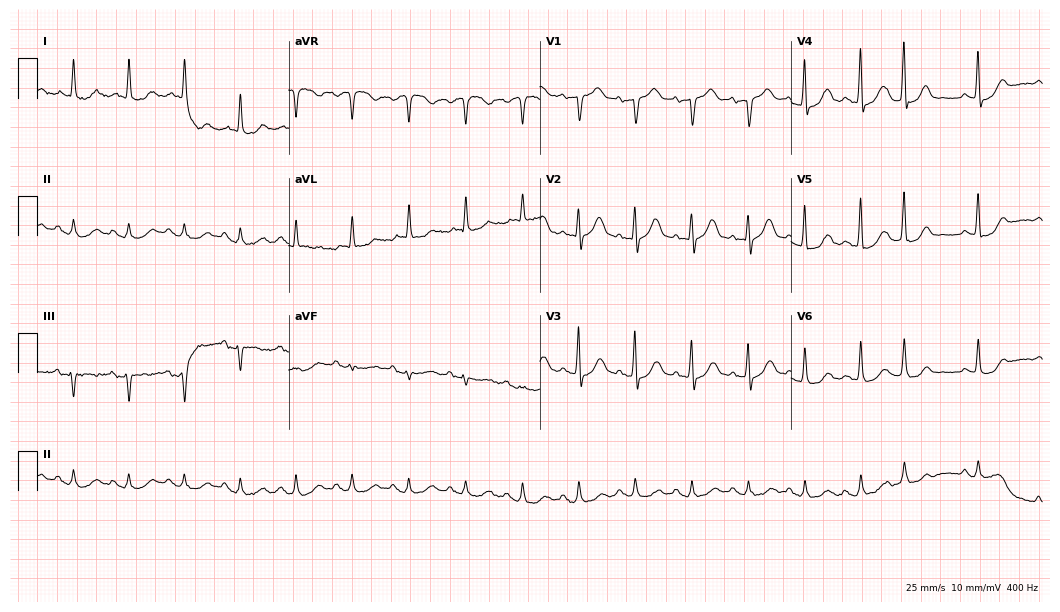
Electrocardiogram, an 84-year-old woman. Of the six screened findings (first-degree AV block, right bundle branch block, left bundle branch block, sinus bradycardia, atrial fibrillation, sinus tachycardia), none is recorded.